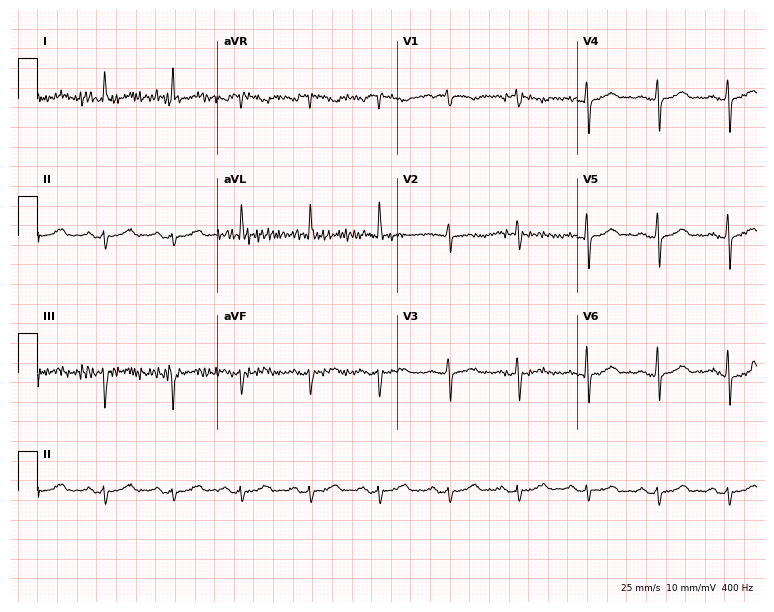
12-lead ECG (7.3-second recording at 400 Hz) from a man, 81 years old. Screened for six findings — first-degree AV block, right bundle branch block, left bundle branch block, sinus bradycardia, atrial fibrillation, sinus tachycardia — none is recorded.